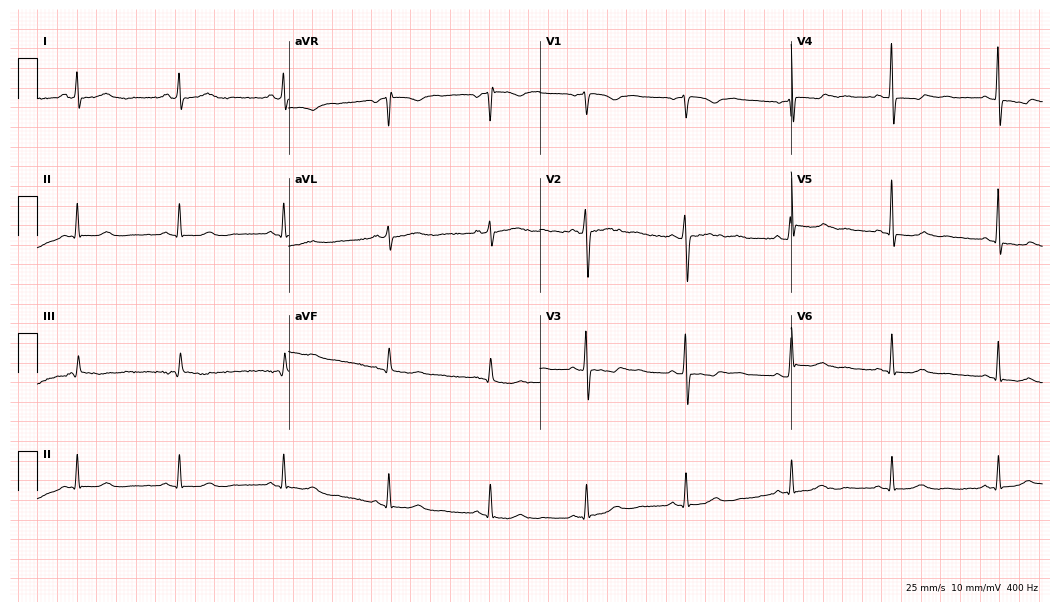
Standard 12-lead ECG recorded from a female patient, 46 years old (10.2-second recording at 400 Hz). None of these six findings is recorded: first-degree AV block, right bundle branch block (RBBB), left bundle branch block (LBBB), sinus bradycardia, atrial fibrillation (AF), sinus tachycardia.